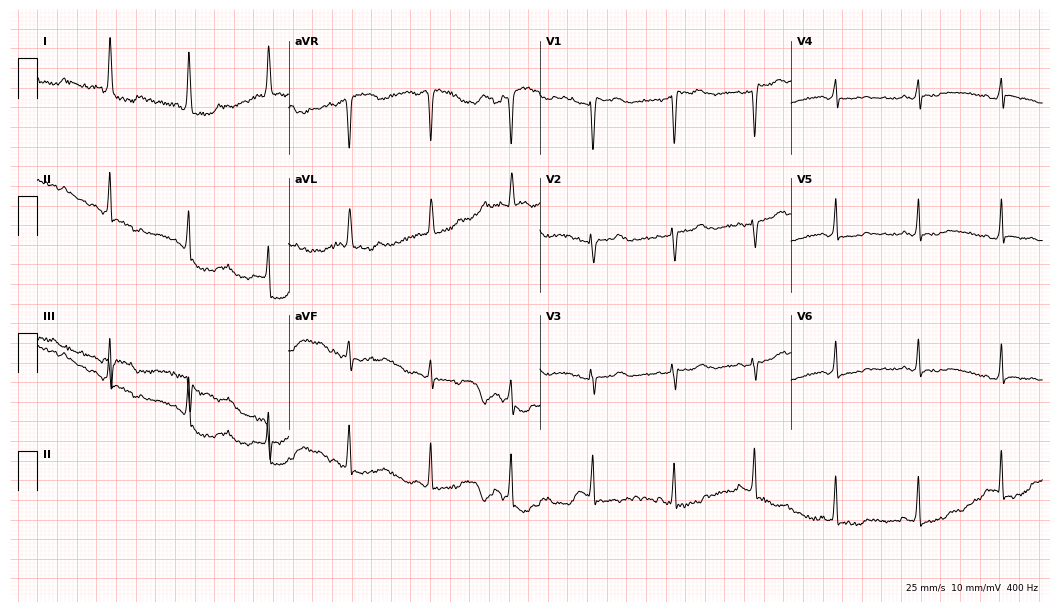
12-lead ECG from a female, 68 years old (10.2-second recording at 400 Hz). No first-degree AV block, right bundle branch block, left bundle branch block, sinus bradycardia, atrial fibrillation or sinus tachycardia recorded for this tracing.